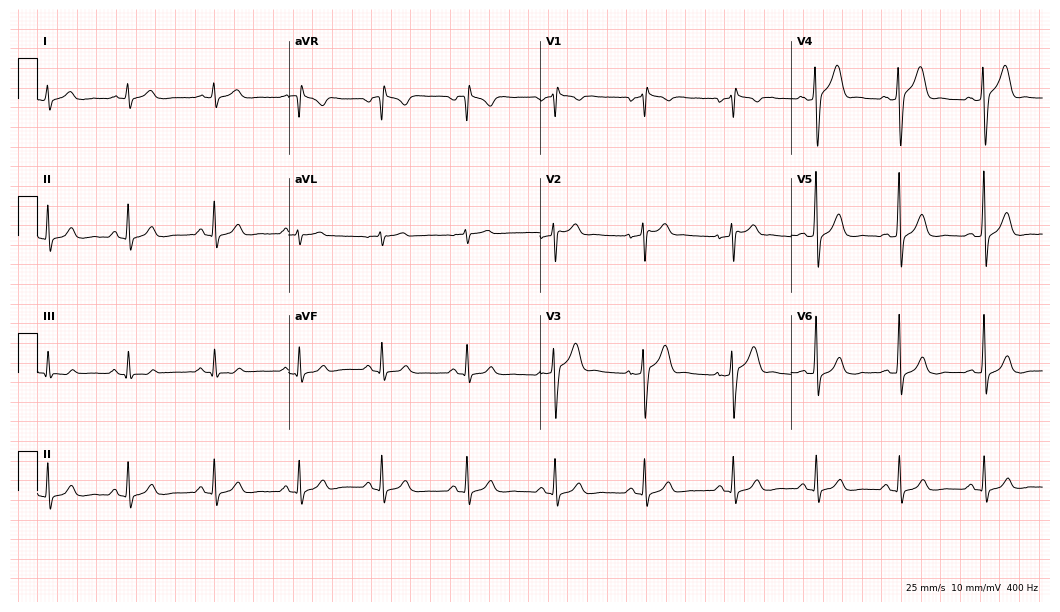
12-lead ECG from a 39-year-old man. Labelled as a normal ECG.